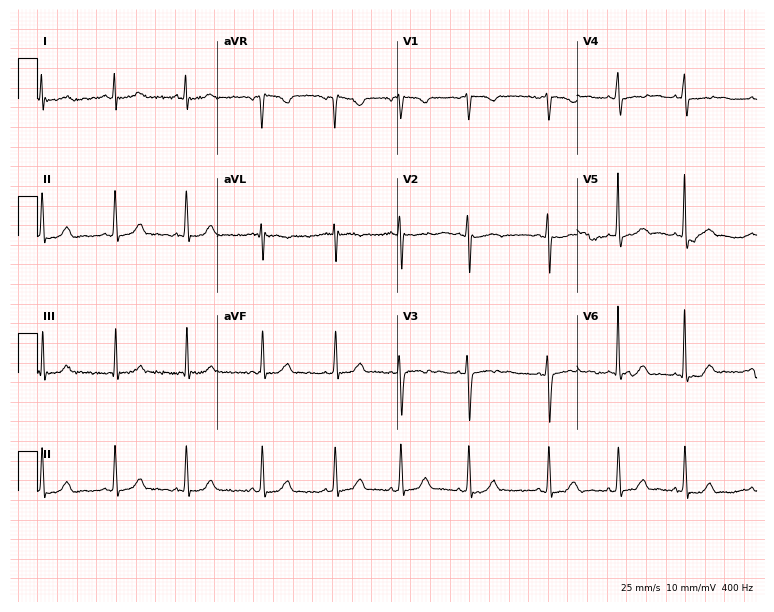
12-lead ECG from a 23-year-old female patient (7.3-second recording at 400 Hz). Recorded interpretation: within normal limits.